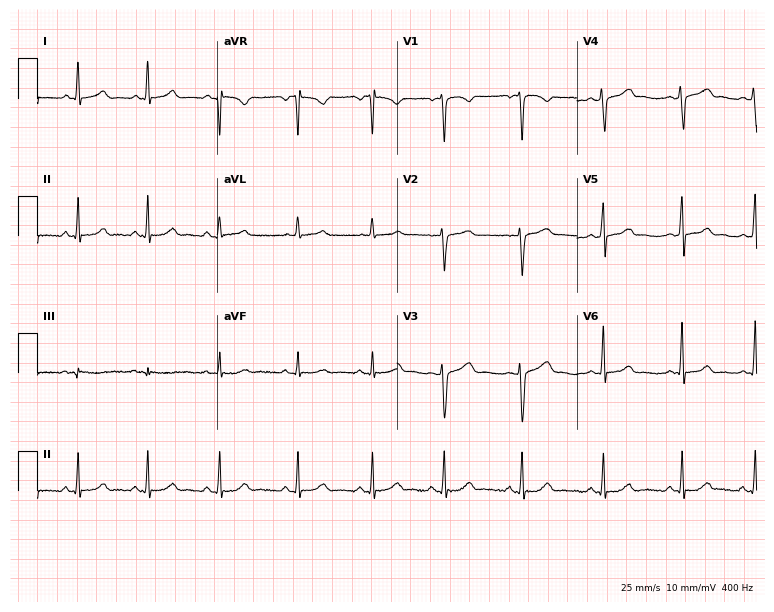
ECG (7.3-second recording at 400 Hz) — a woman, 30 years old. Labelled as a normal ECG.